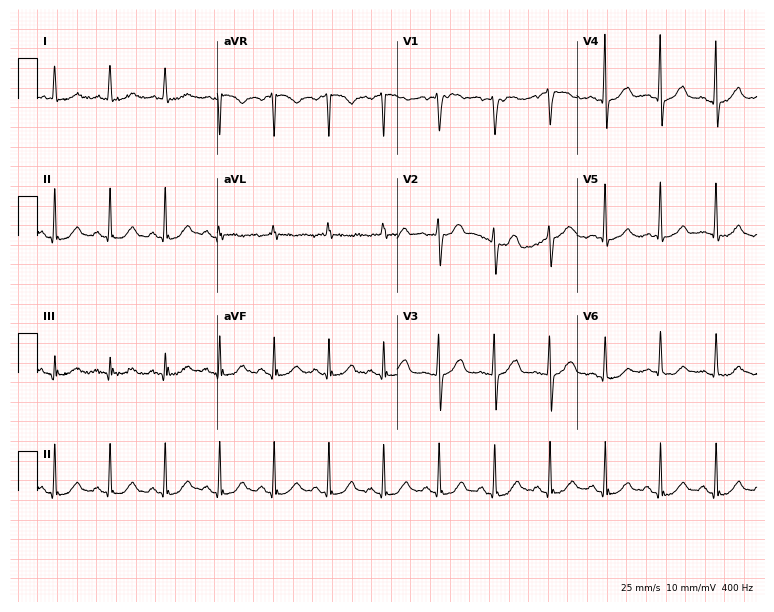
12-lead ECG from a 78-year-old female patient. Shows sinus tachycardia (a sinus rate of 100 beats per minute or more).